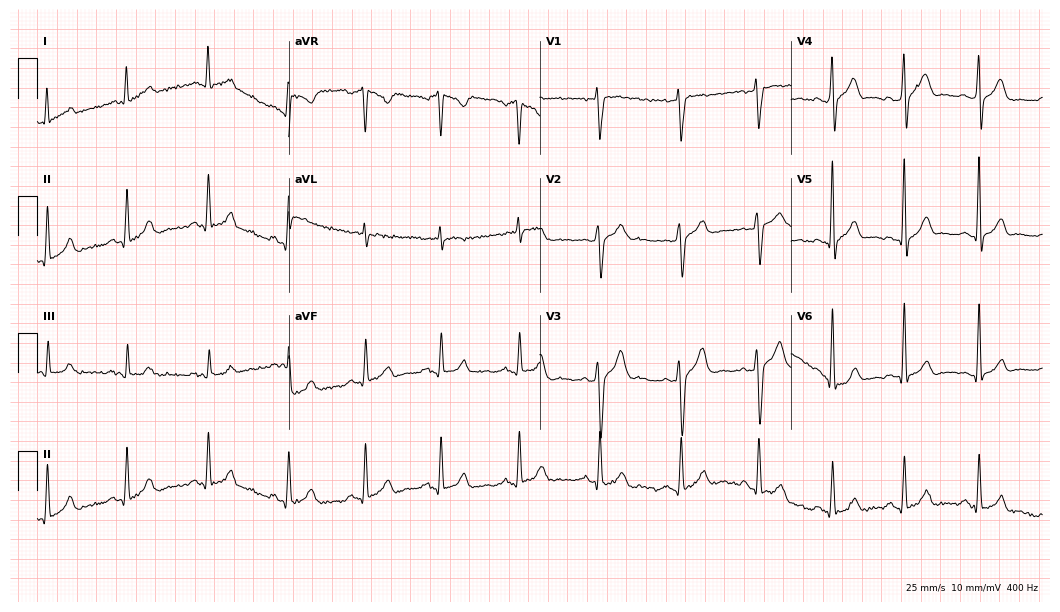
12-lead ECG from a 39-year-old man (10.2-second recording at 400 Hz). Recorded interpretation: within normal limits.